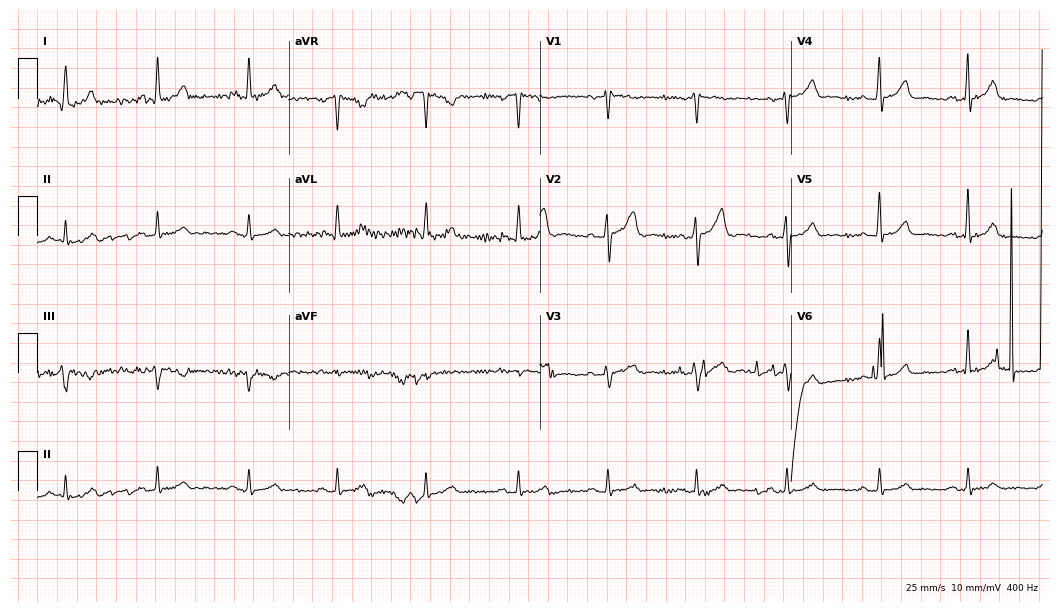
12-lead ECG from a male patient, 40 years old (10.2-second recording at 400 Hz). No first-degree AV block, right bundle branch block (RBBB), left bundle branch block (LBBB), sinus bradycardia, atrial fibrillation (AF) or sinus tachycardia recorded for this tracing. Other findings, if any, are not listed.